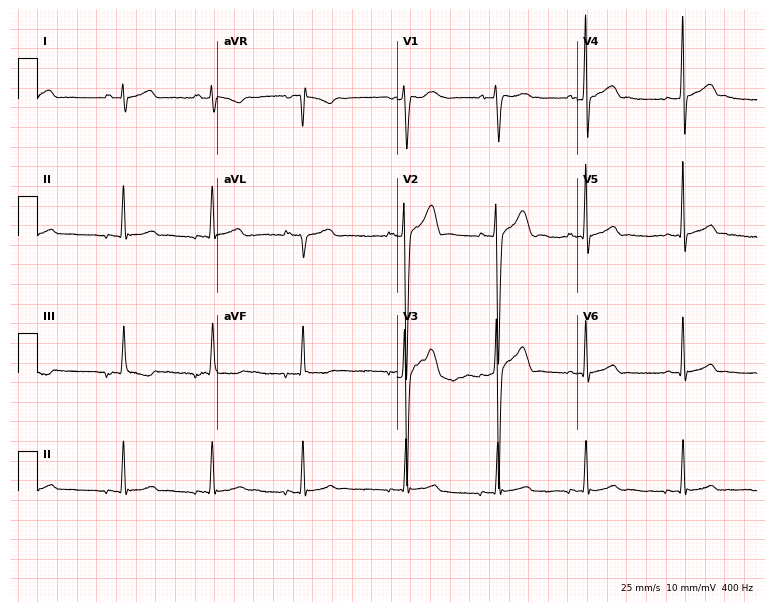
ECG — a male patient, 17 years old. Screened for six findings — first-degree AV block, right bundle branch block, left bundle branch block, sinus bradycardia, atrial fibrillation, sinus tachycardia — none is recorded. Only these six findings were labelled.